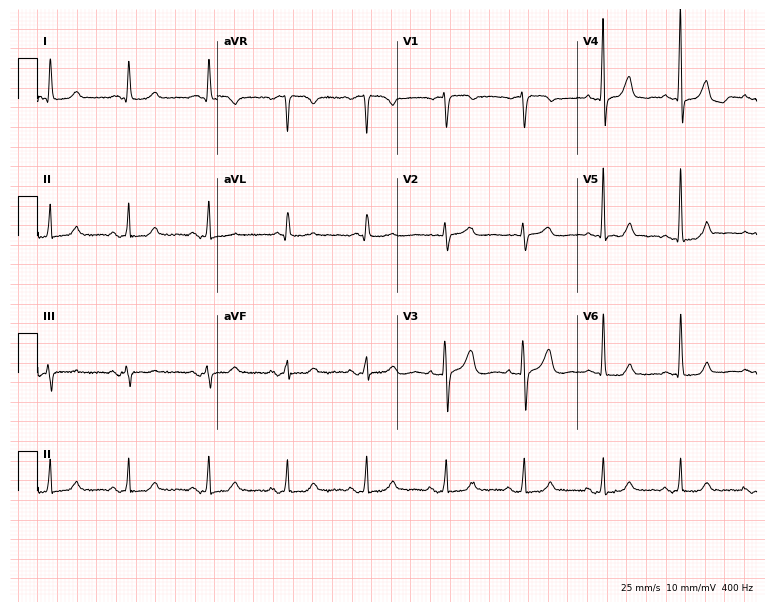
Resting 12-lead electrocardiogram (7.3-second recording at 400 Hz). Patient: a 73-year-old female. Read as a normal ECG.